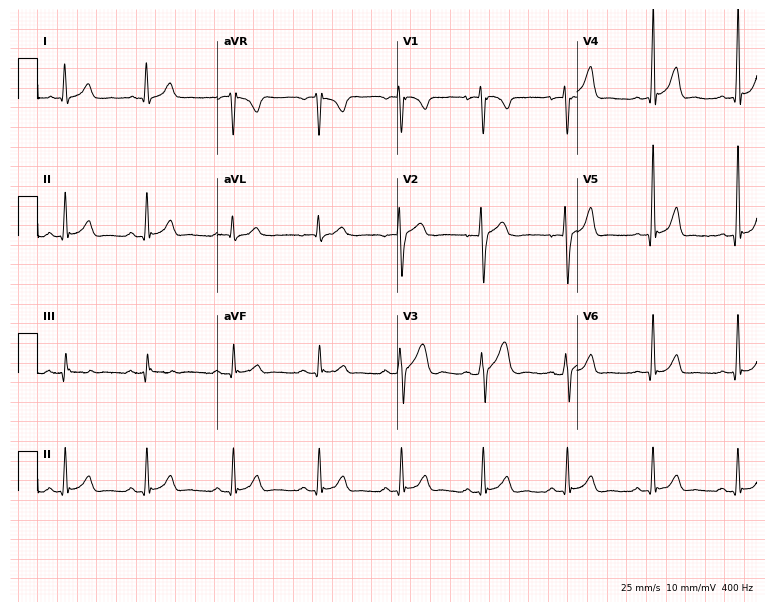
12-lead ECG from a 28-year-old male patient. Labelled as a normal ECG.